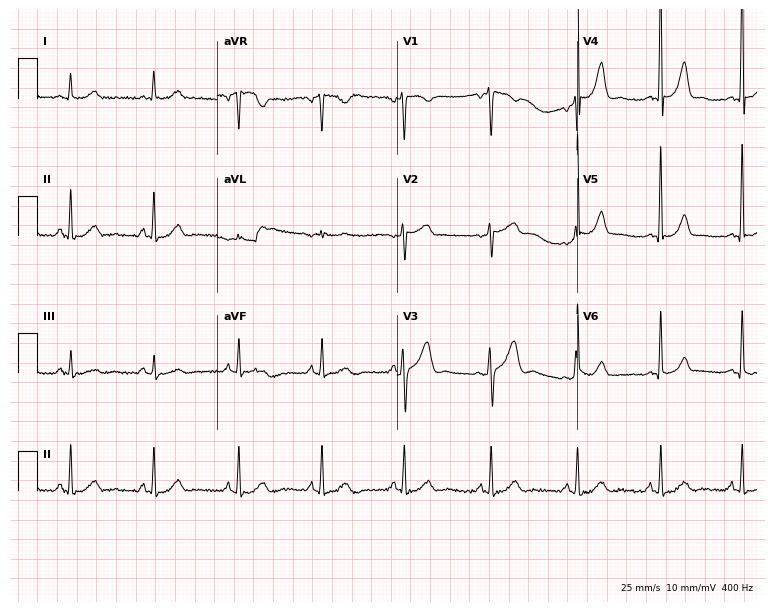
12-lead ECG (7.3-second recording at 400 Hz) from a 56-year-old male patient. Labelled as a normal ECG.